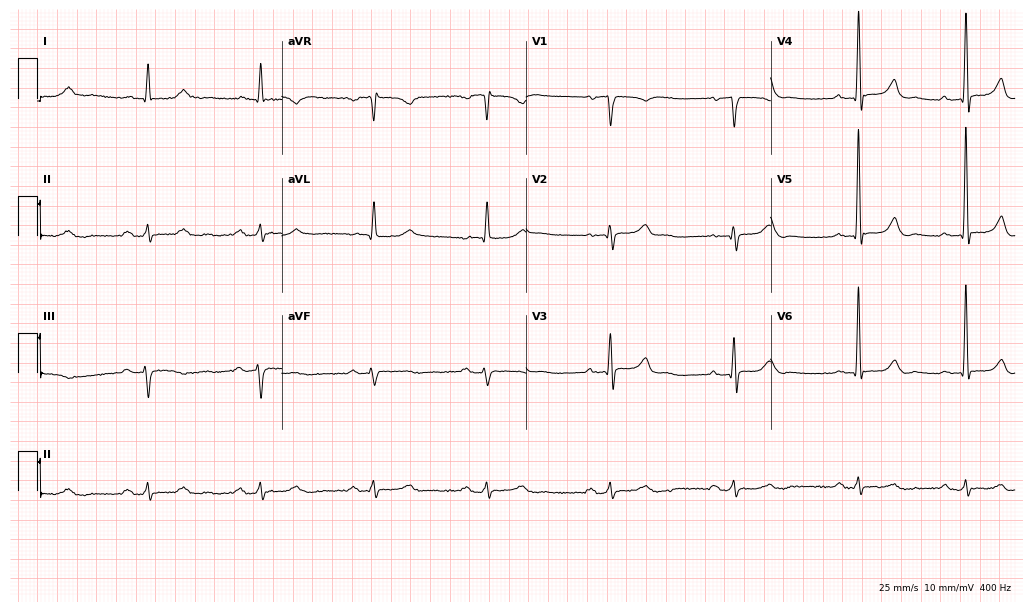
Resting 12-lead electrocardiogram (10-second recording at 400 Hz). Patient: a man, 83 years old. None of these six findings is recorded: first-degree AV block, right bundle branch block, left bundle branch block, sinus bradycardia, atrial fibrillation, sinus tachycardia. Other findings, if any, are not listed.